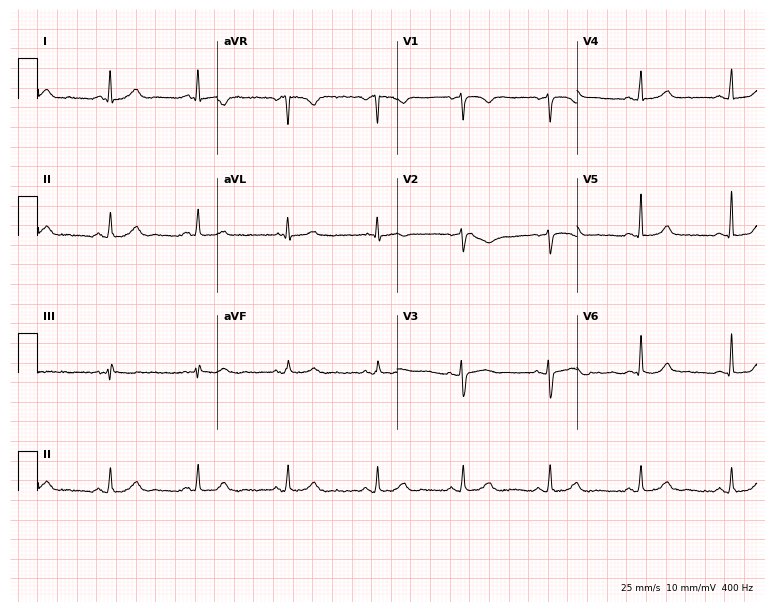
Electrocardiogram (7.3-second recording at 400 Hz), a 47-year-old female. Overall reading on record: normal ECG.